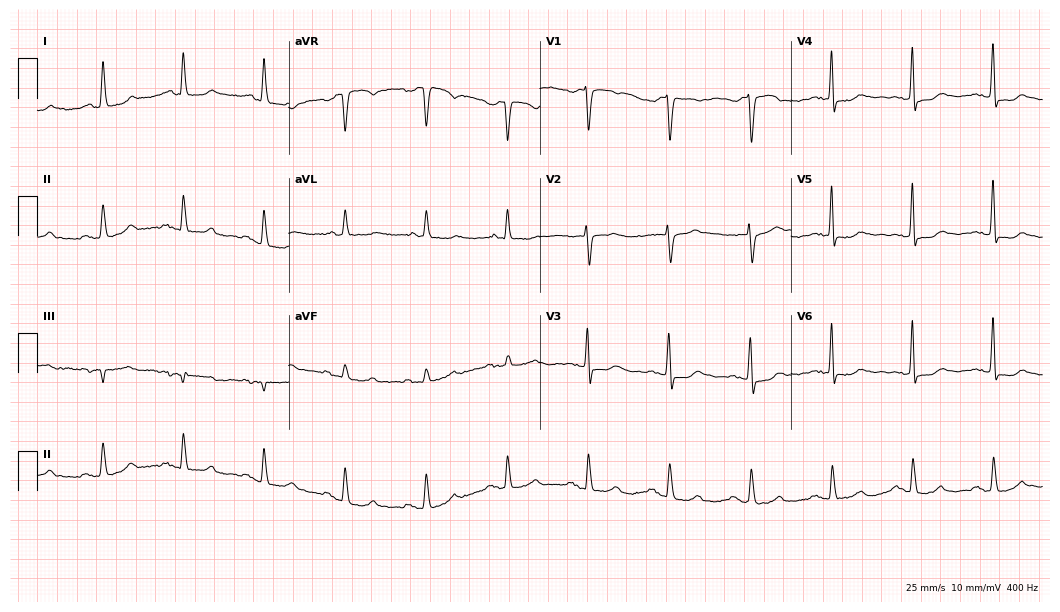
ECG (10.2-second recording at 400 Hz) — a 73-year-old woman. Screened for six findings — first-degree AV block, right bundle branch block, left bundle branch block, sinus bradycardia, atrial fibrillation, sinus tachycardia — none is recorded.